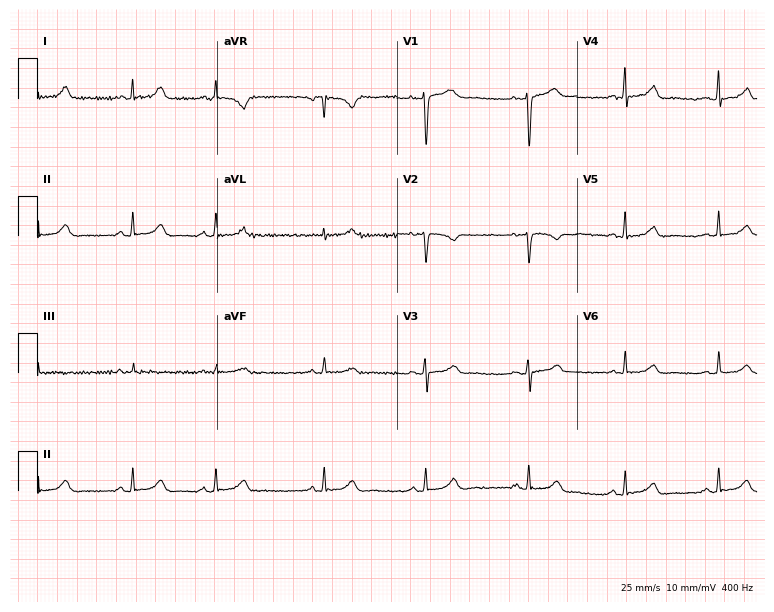
Standard 12-lead ECG recorded from a 43-year-old female. Read as a normal ECG.